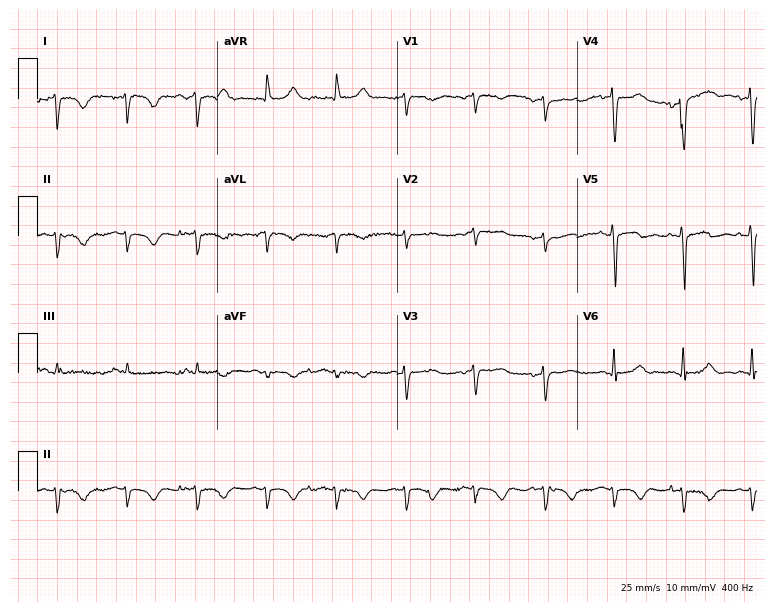
12-lead ECG from an 84-year-old female (7.3-second recording at 400 Hz). No first-degree AV block, right bundle branch block, left bundle branch block, sinus bradycardia, atrial fibrillation or sinus tachycardia recorded for this tracing. Only these six findings were labelled.